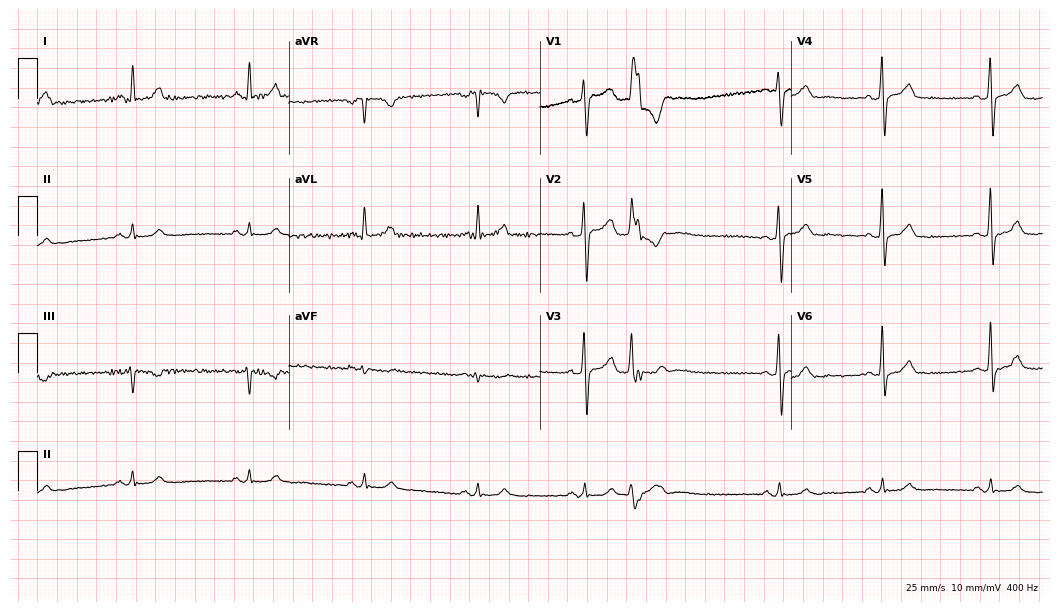
Standard 12-lead ECG recorded from a male patient, 31 years old (10.2-second recording at 400 Hz). Read as a normal ECG.